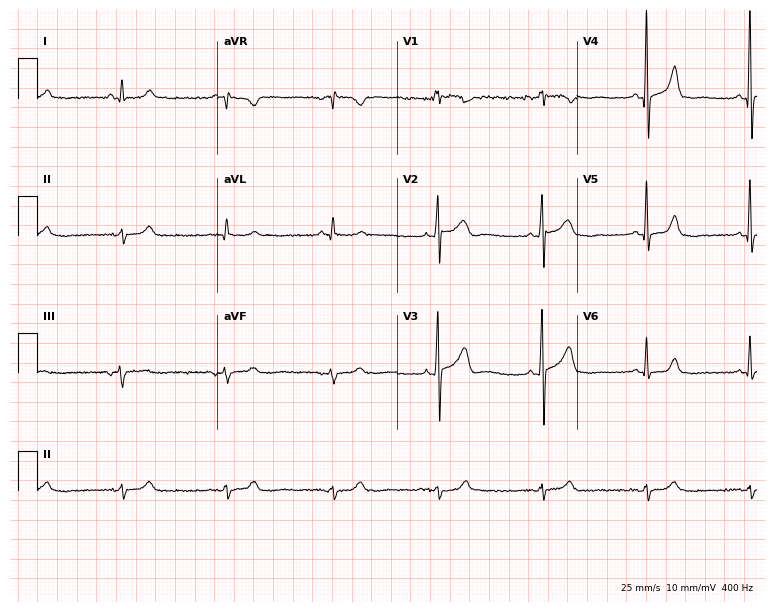
ECG — a male patient, 70 years old. Labelled as a normal ECG.